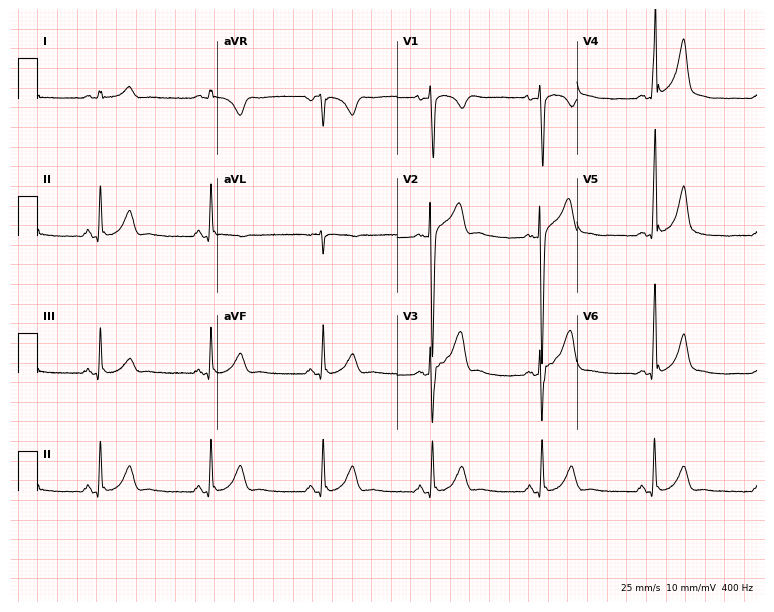
Standard 12-lead ECG recorded from a 32-year-old male. Read as a normal ECG.